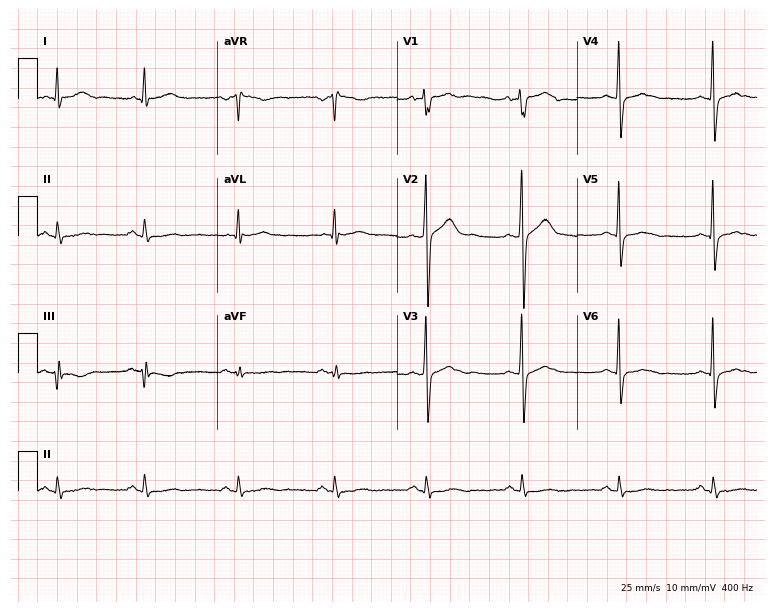
12-lead ECG from a male, 50 years old. Screened for six findings — first-degree AV block, right bundle branch block, left bundle branch block, sinus bradycardia, atrial fibrillation, sinus tachycardia — none is recorded.